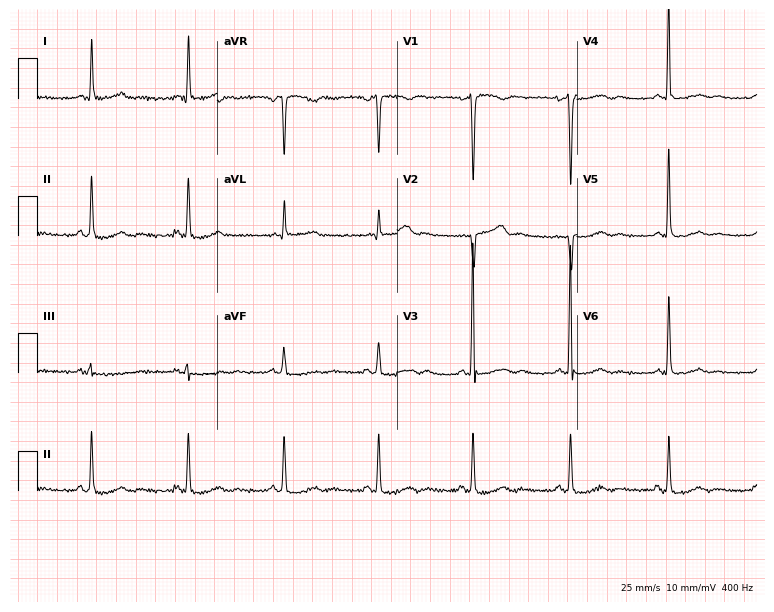
ECG (7.3-second recording at 400 Hz) — a 33-year-old female. Labelled as a normal ECG.